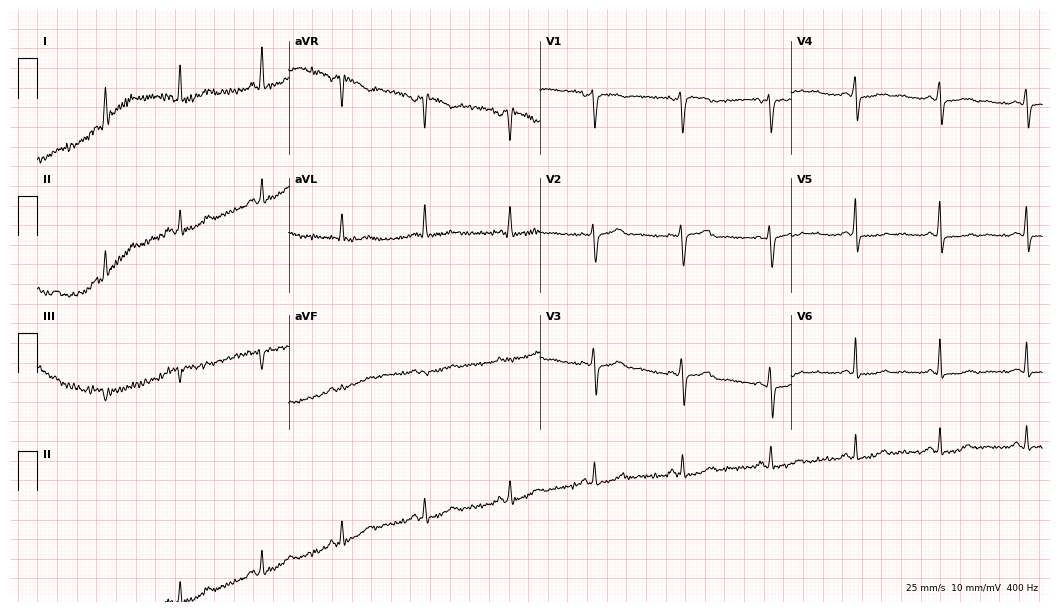
Resting 12-lead electrocardiogram (10.2-second recording at 400 Hz). Patient: a 42-year-old female. None of these six findings is recorded: first-degree AV block, right bundle branch block (RBBB), left bundle branch block (LBBB), sinus bradycardia, atrial fibrillation (AF), sinus tachycardia. Only these six findings were labelled.